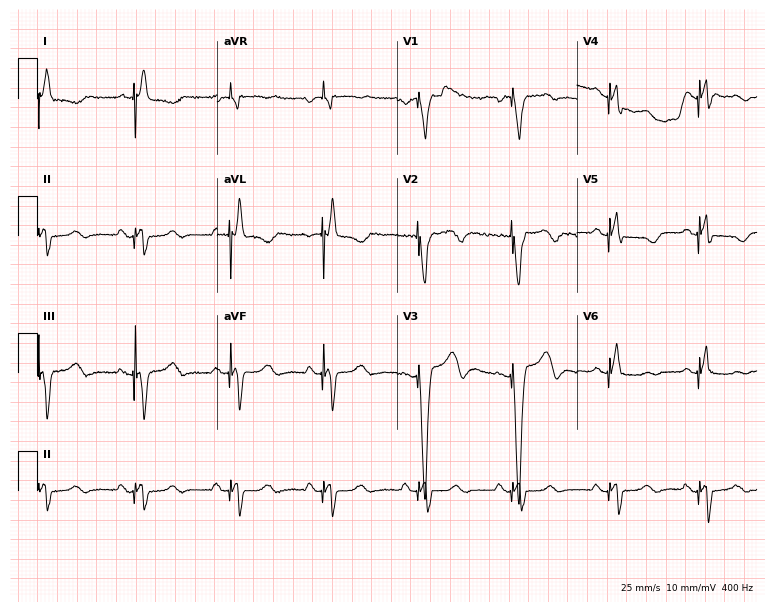
12-lead ECG from a female patient, 85 years old (7.3-second recording at 400 Hz). No first-degree AV block, right bundle branch block (RBBB), left bundle branch block (LBBB), sinus bradycardia, atrial fibrillation (AF) or sinus tachycardia recorded for this tracing. Only these six findings were labelled.